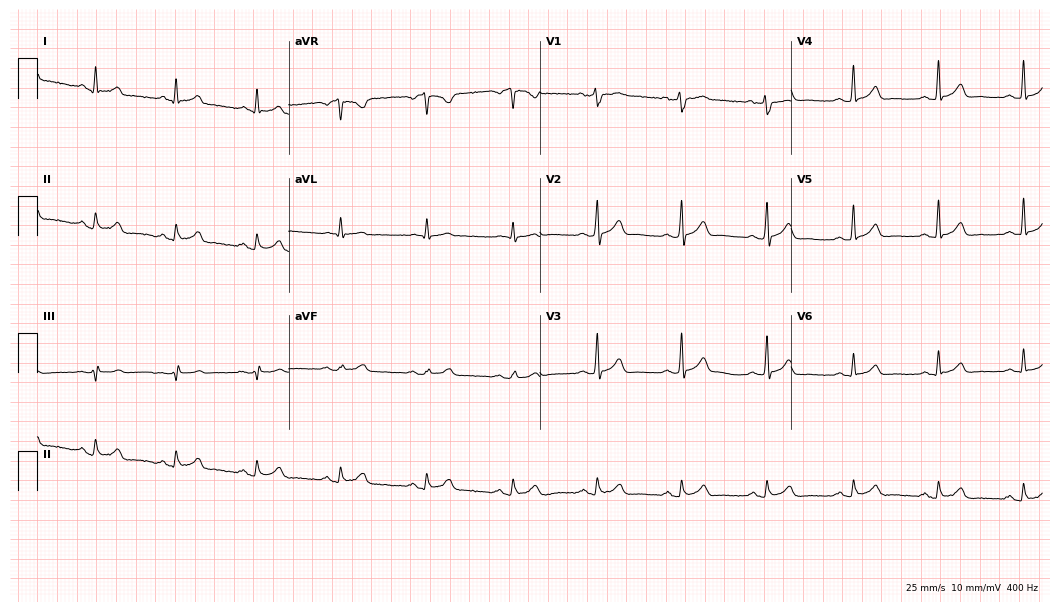
Resting 12-lead electrocardiogram (10.2-second recording at 400 Hz). Patient: a 59-year-old male. None of these six findings is recorded: first-degree AV block, right bundle branch block, left bundle branch block, sinus bradycardia, atrial fibrillation, sinus tachycardia. Only these six findings were labelled.